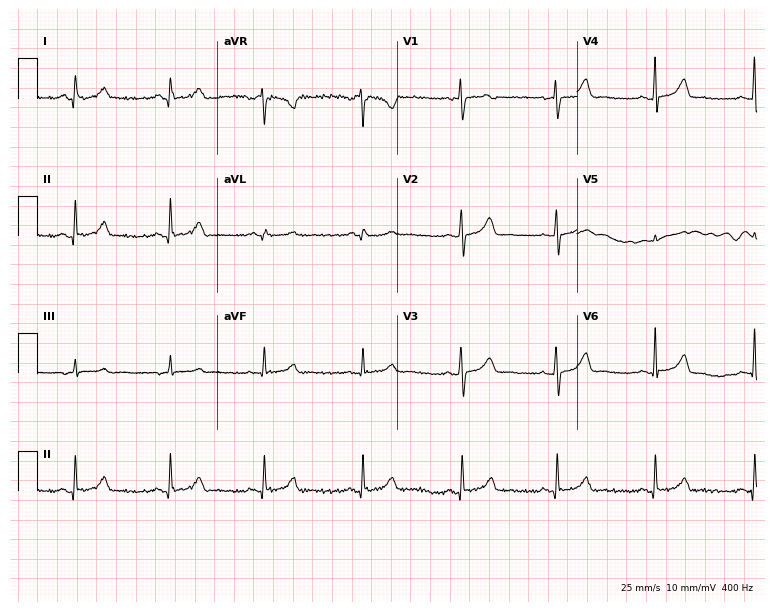
ECG (7.3-second recording at 400 Hz) — a female patient, 42 years old. Labelled as a normal ECG.